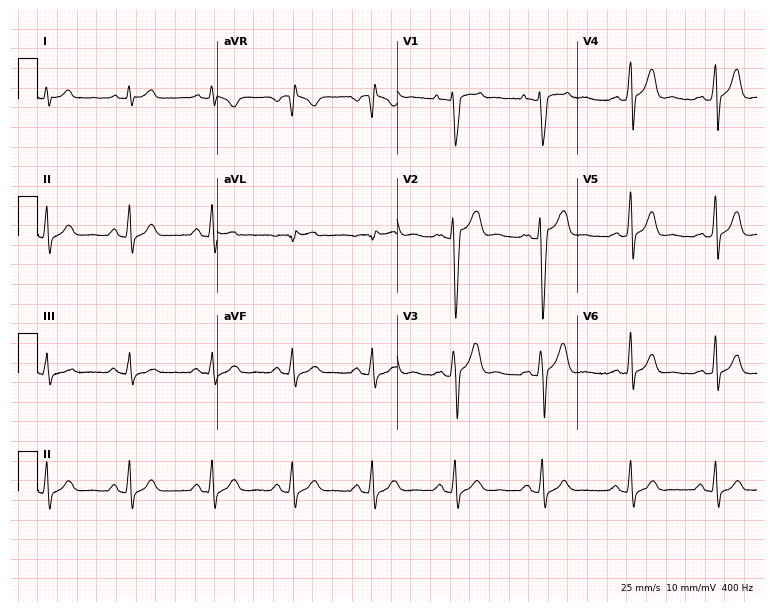
Standard 12-lead ECG recorded from a male, 28 years old. Read as a normal ECG.